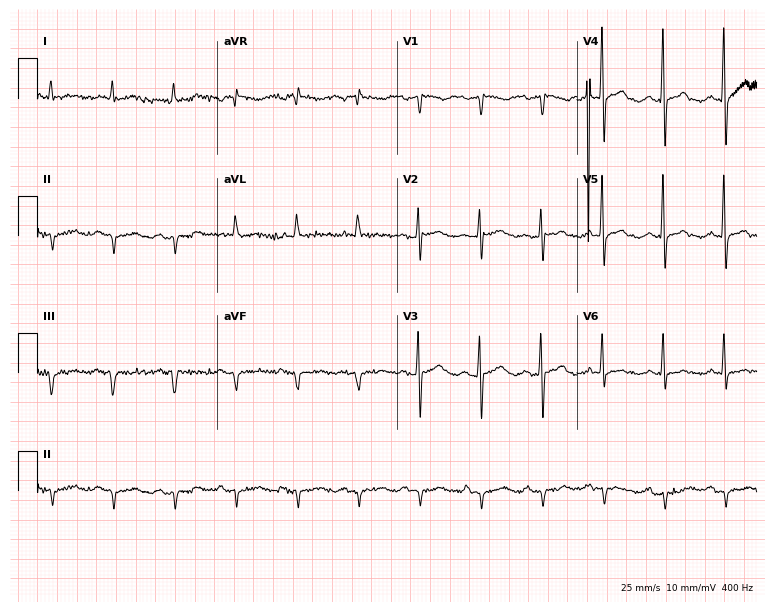
12-lead ECG (7.3-second recording at 400 Hz) from a female patient, 57 years old. Screened for six findings — first-degree AV block, right bundle branch block, left bundle branch block, sinus bradycardia, atrial fibrillation, sinus tachycardia — none is recorded.